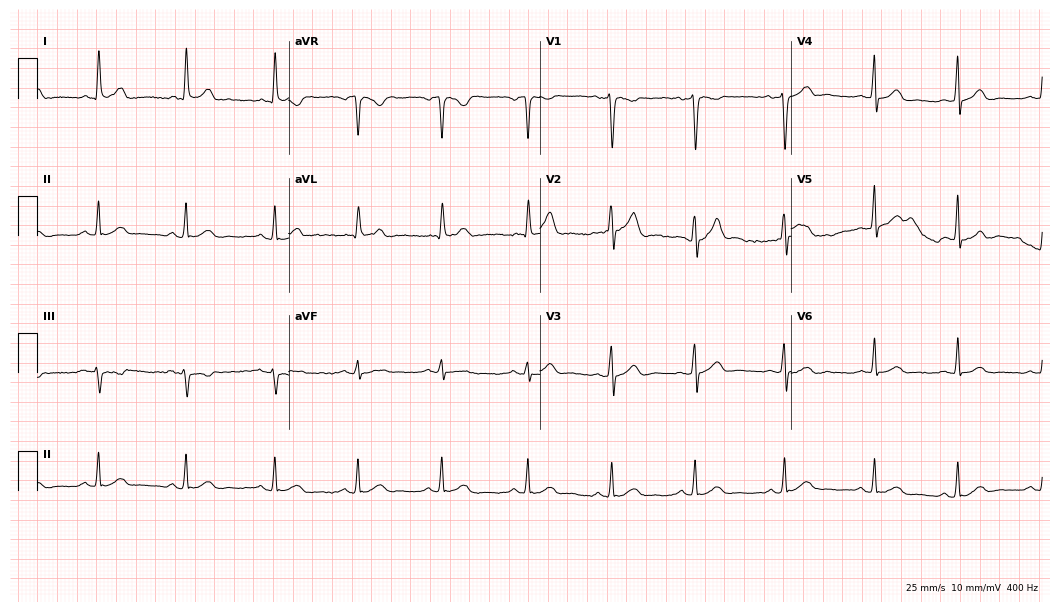
12-lead ECG from a female, 45 years old. Labelled as a normal ECG.